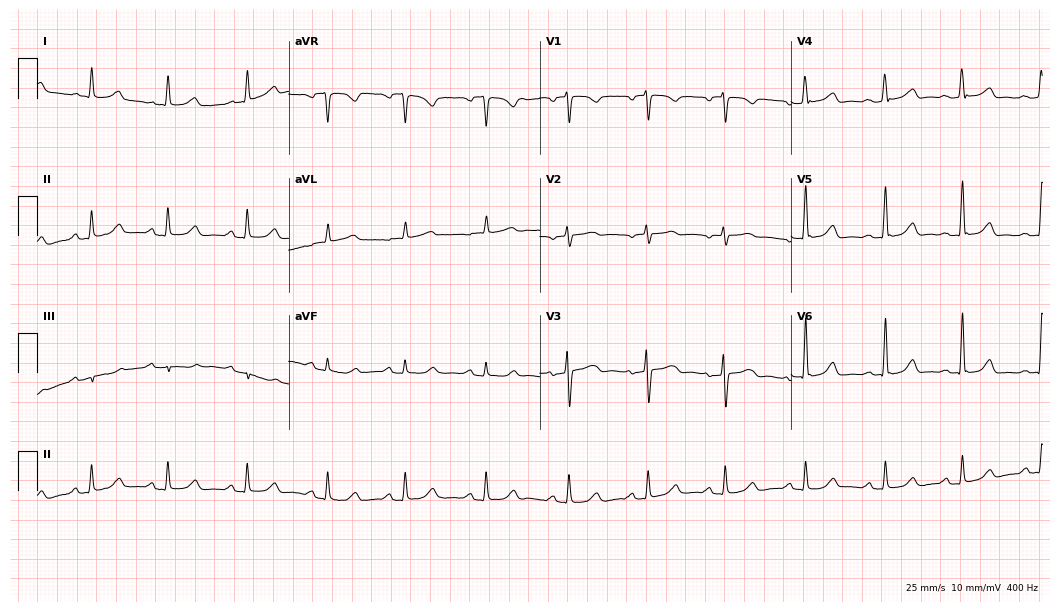
12-lead ECG from a woman, 71 years old. Recorded interpretation: within normal limits.